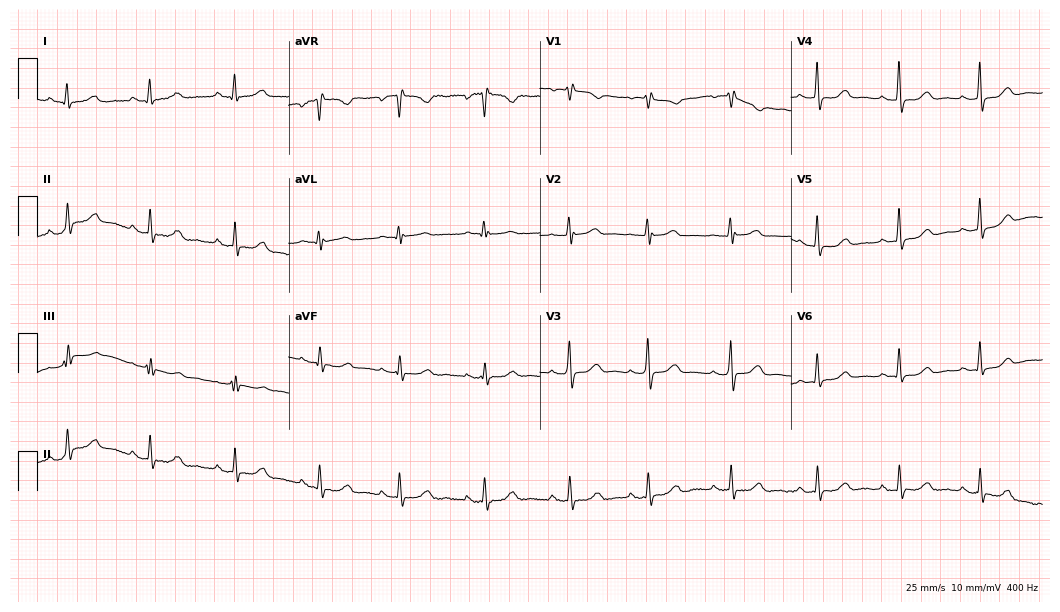
Resting 12-lead electrocardiogram (10.2-second recording at 400 Hz). Patient: a 57-year-old female. Read as a normal ECG.